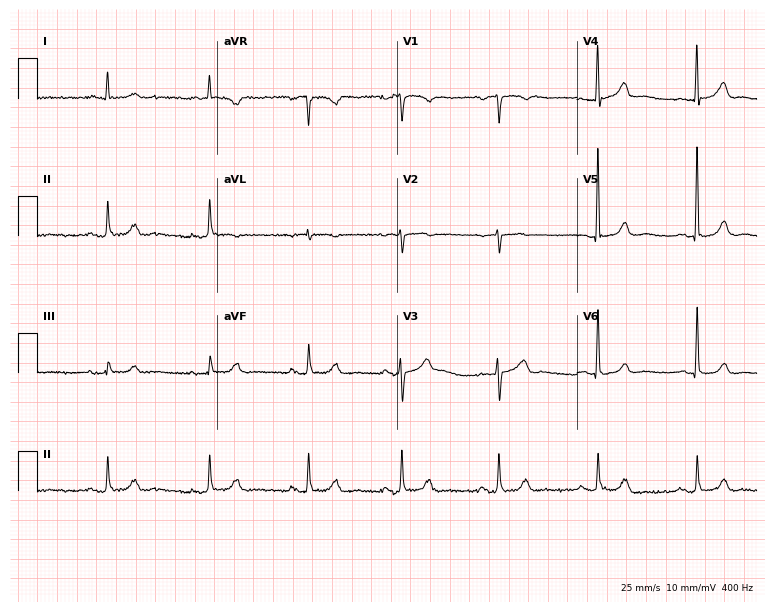
12-lead ECG (7.3-second recording at 400 Hz) from a male, 81 years old. Labelled as a normal ECG.